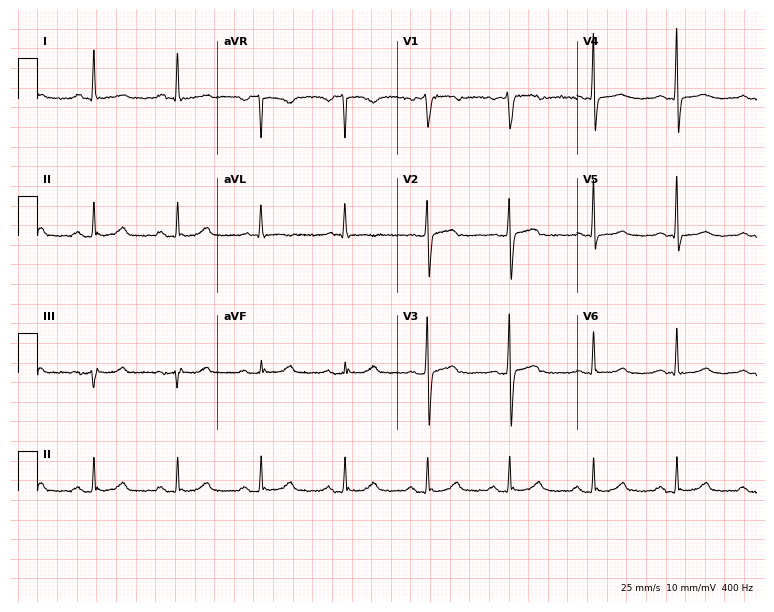
Standard 12-lead ECG recorded from a female patient, 59 years old. None of these six findings is recorded: first-degree AV block, right bundle branch block, left bundle branch block, sinus bradycardia, atrial fibrillation, sinus tachycardia.